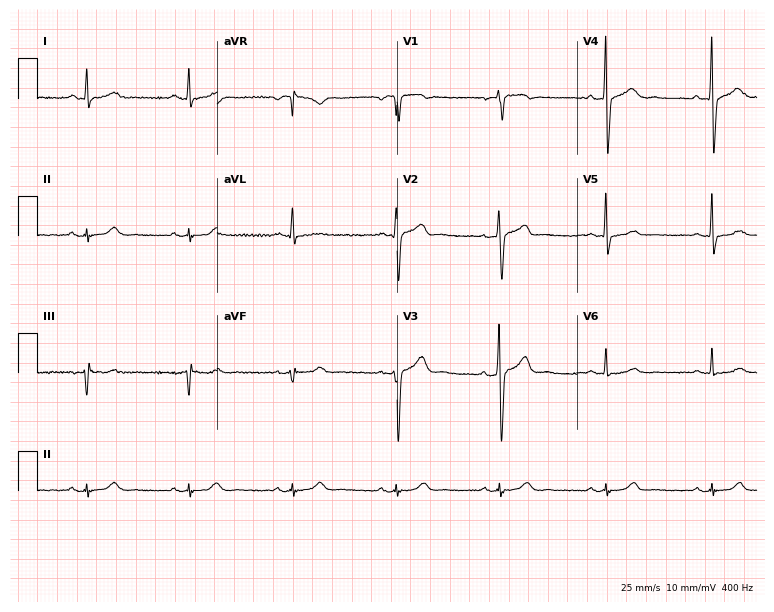
Standard 12-lead ECG recorded from a 51-year-old man (7.3-second recording at 400 Hz). Read as a normal ECG.